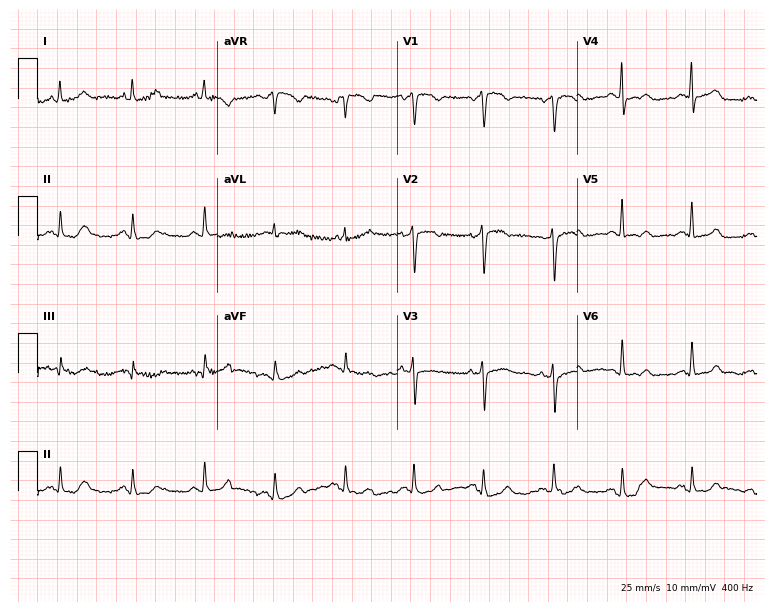
ECG — a 67-year-old female. Labelled as a normal ECG.